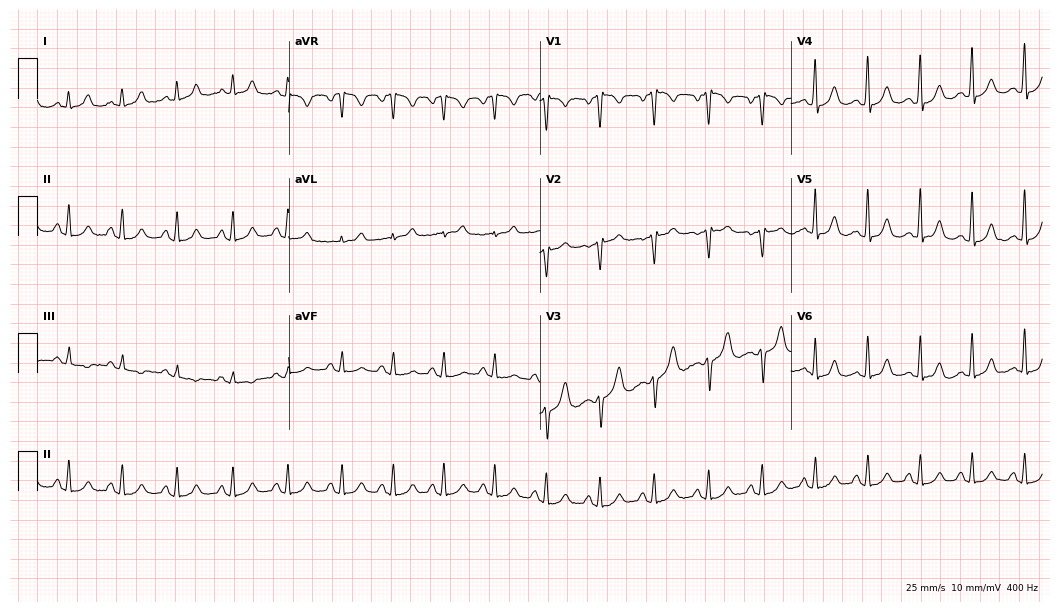
12-lead ECG from a female, 41 years old. Shows sinus tachycardia (a sinus rate of 100 beats per minute or more).